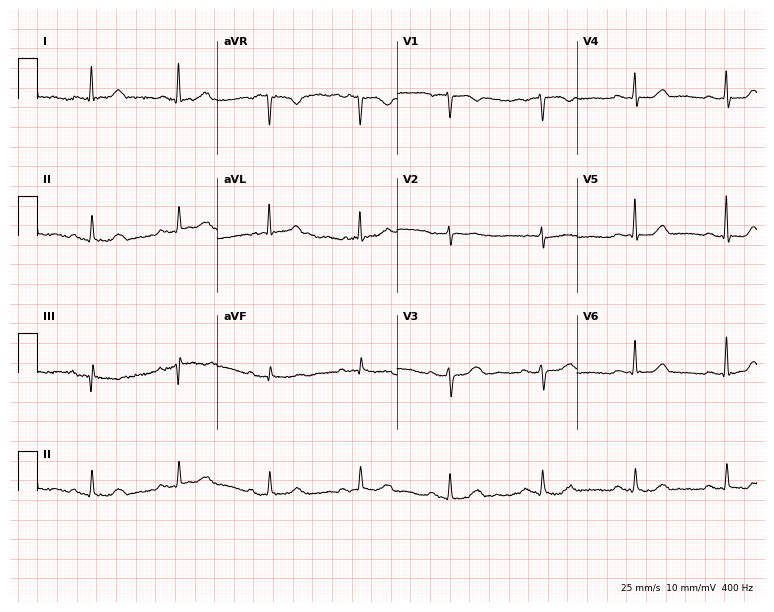
12-lead ECG (7.3-second recording at 400 Hz) from a female, 69 years old. Labelled as a normal ECG.